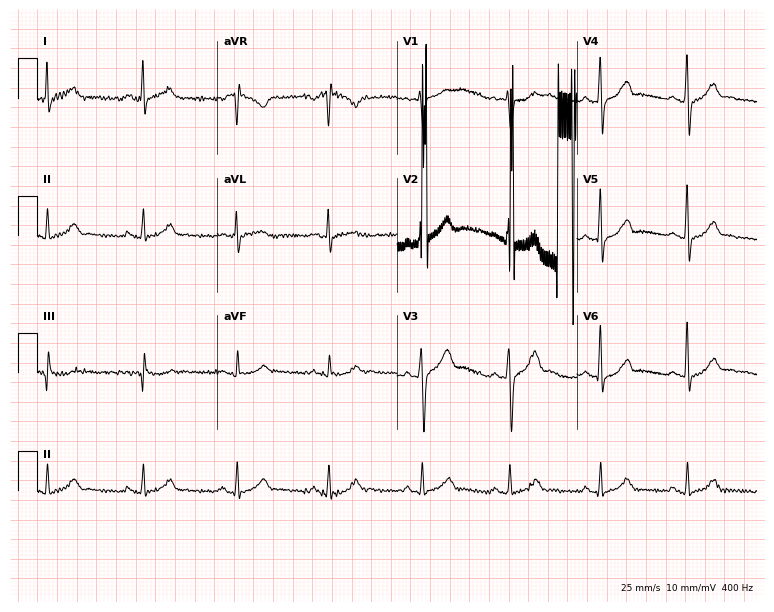
Resting 12-lead electrocardiogram. Patient: a male, 49 years old. Read as a normal ECG.